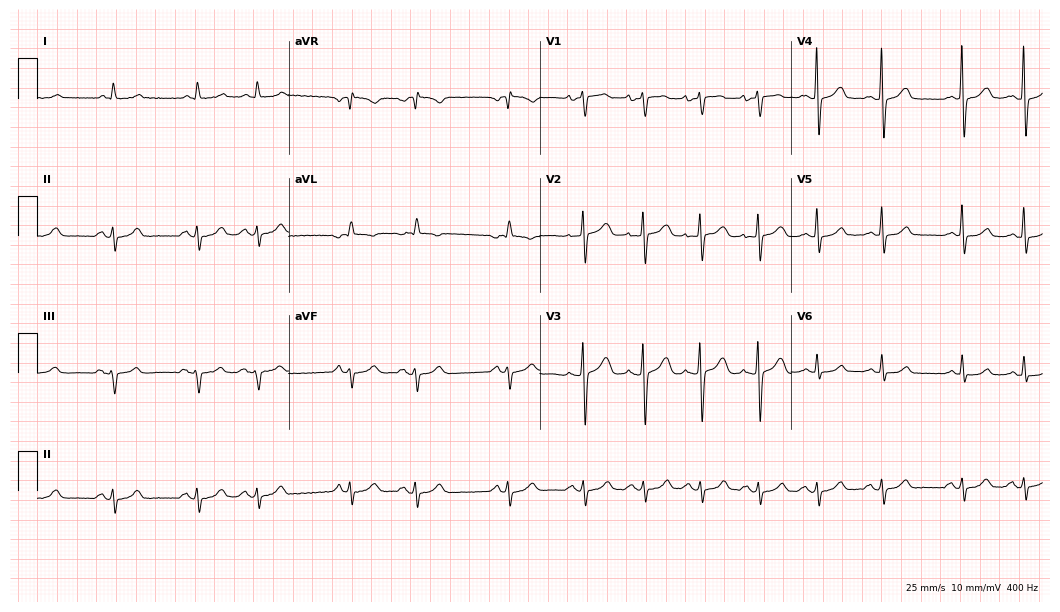
12-lead ECG from a woman, 71 years old (10.2-second recording at 400 Hz). No first-degree AV block, right bundle branch block, left bundle branch block, sinus bradycardia, atrial fibrillation or sinus tachycardia recorded for this tracing.